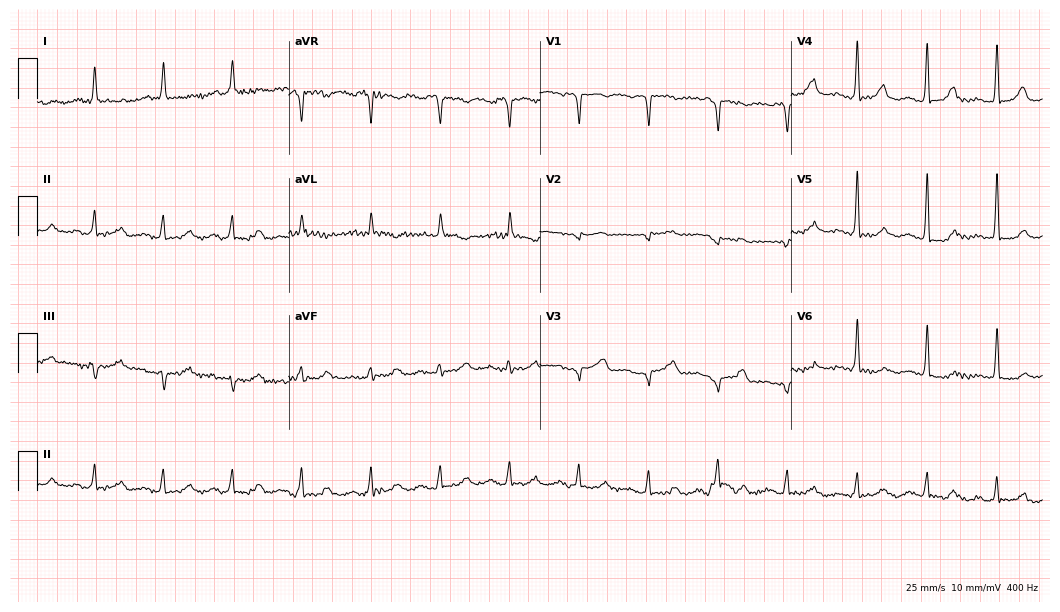
ECG — a woman, 83 years old. Screened for six findings — first-degree AV block, right bundle branch block (RBBB), left bundle branch block (LBBB), sinus bradycardia, atrial fibrillation (AF), sinus tachycardia — none is recorded.